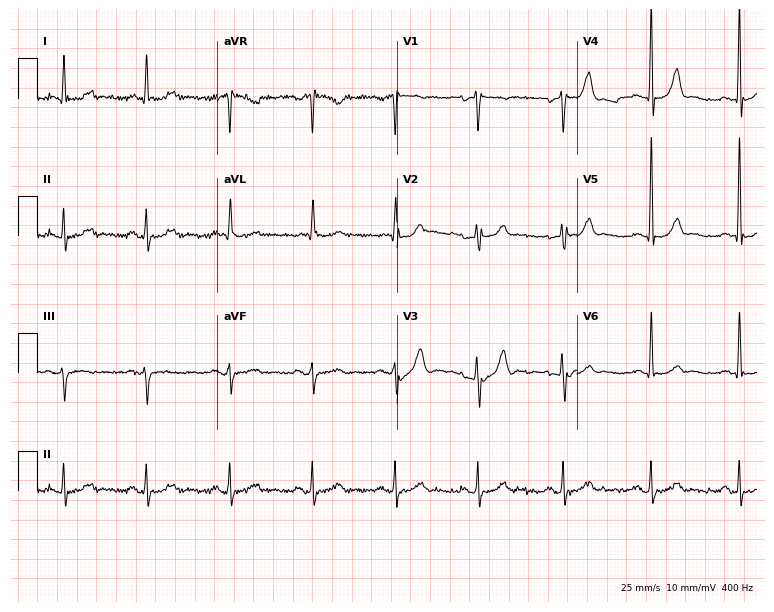
Electrocardiogram, a 71-year-old male patient. Of the six screened findings (first-degree AV block, right bundle branch block (RBBB), left bundle branch block (LBBB), sinus bradycardia, atrial fibrillation (AF), sinus tachycardia), none is recorded. Other findings, if any, are not listed.